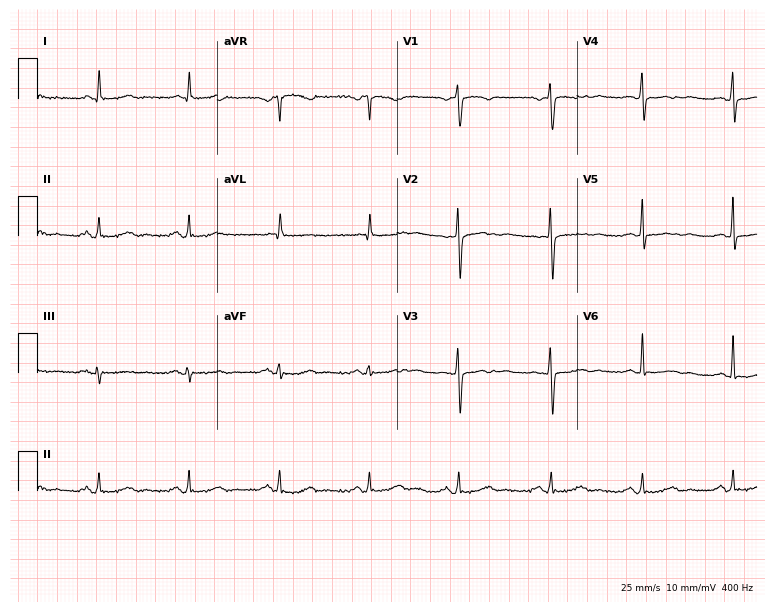
12-lead ECG (7.3-second recording at 400 Hz) from a female patient, 74 years old. Labelled as a normal ECG.